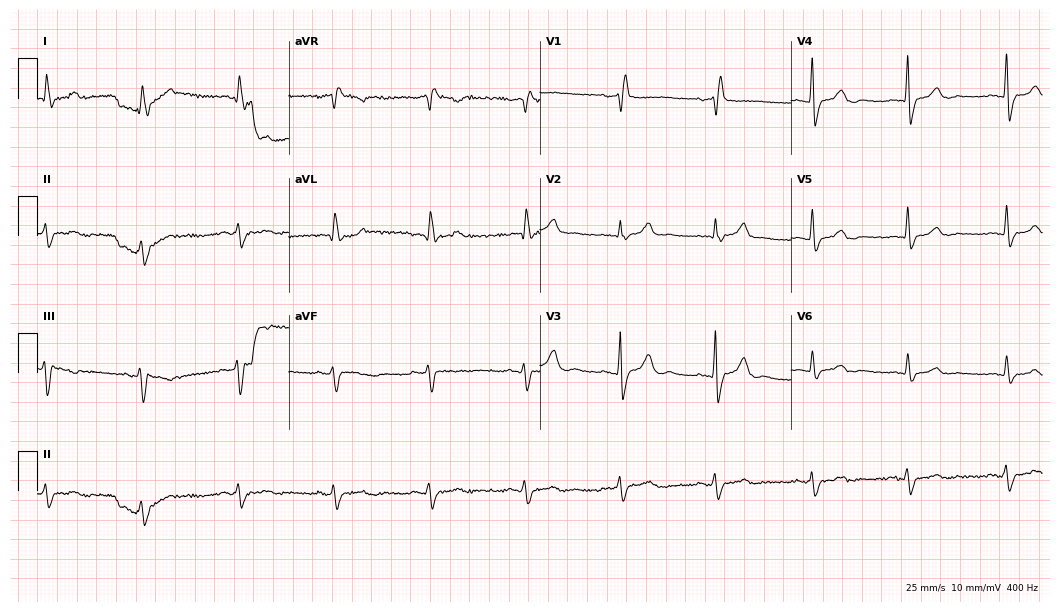
Resting 12-lead electrocardiogram. Patient: an 81-year-old man. The tracing shows right bundle branch block (RBBB).